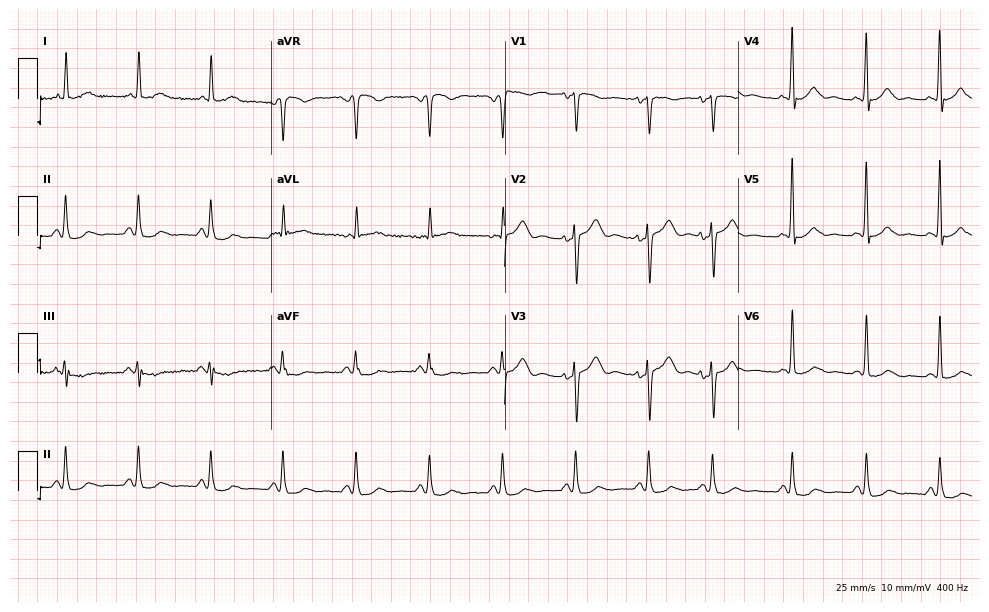
12-lead ECG from a female patient, 72 years old (9.5-second recording at 400 Hz). No first-degree AV block, right bundle branch block, left bundle branch block, sinus bradycardia, atrial fibrillation or sinus tachycardia recorded for this tracing. Only these six findings were labelled.